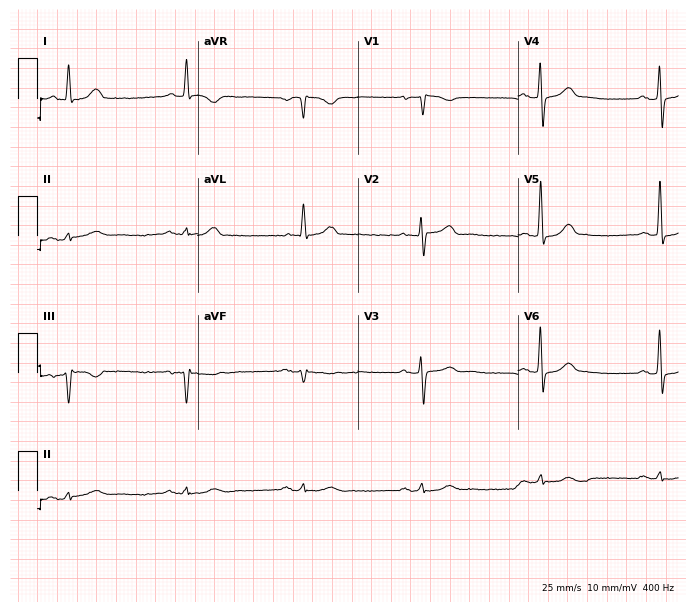
Electrocardiogram (6.5-second recording at 400 Hz), an 87-year-old man. Interpretation includes first-degree AV block, sinus bradycardia (a sinus rate of 50 beats per minute or less).